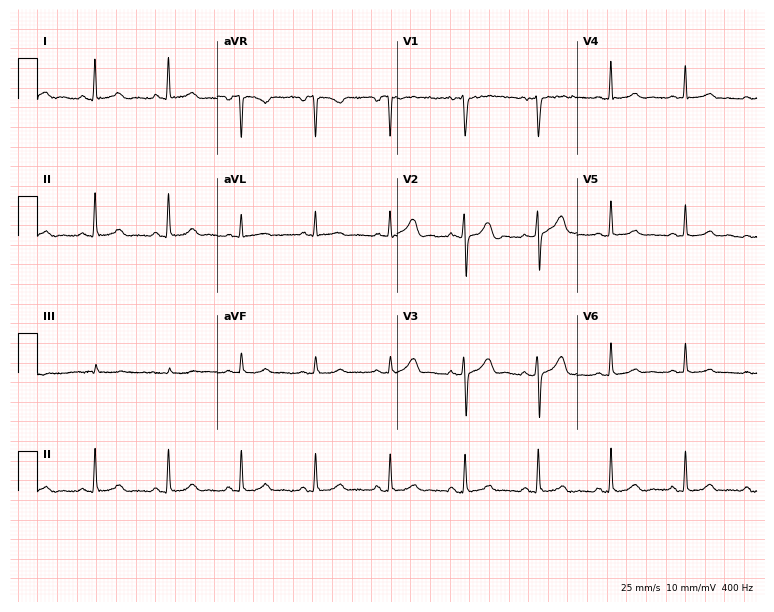
12-lead ECG from a 56-year-old woman. Labelled as a normal ECG.